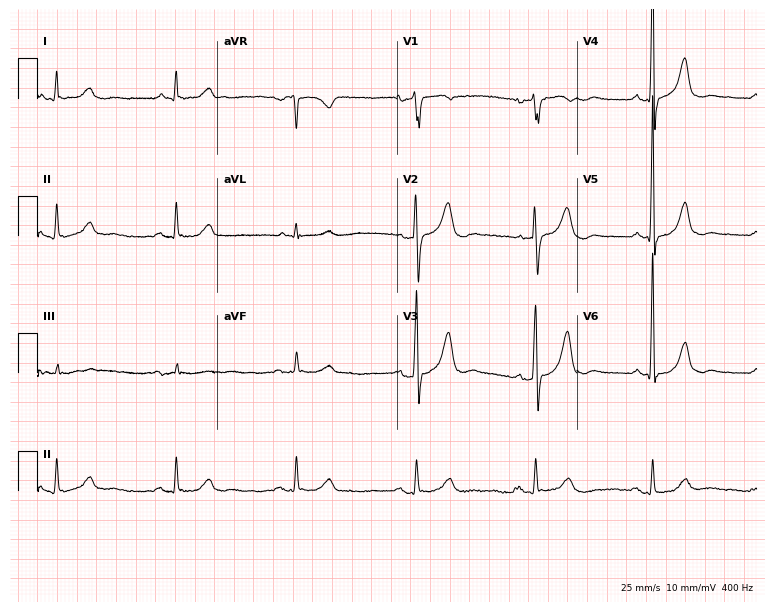
Resting 12-lead electrocardiogram (7.3-second recording at 400 Hz). Patient: a 72-year-old man. Read as a normal ECG.